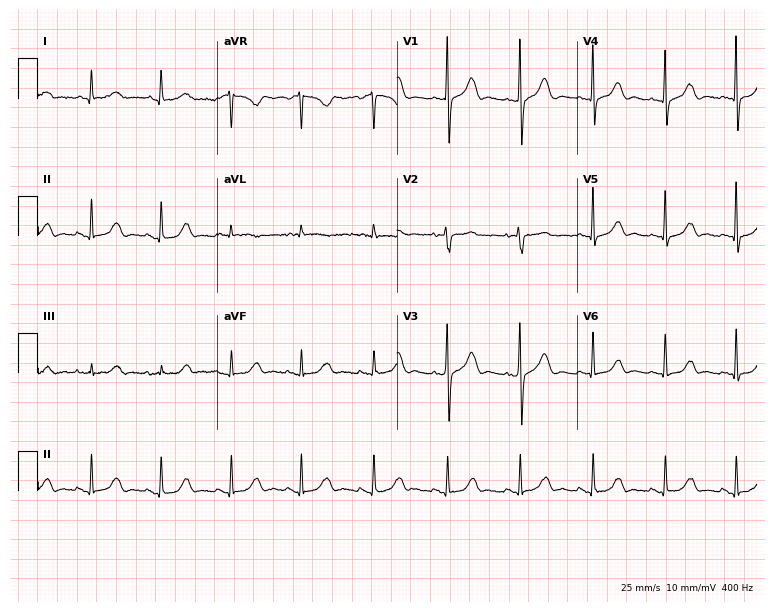
Standard 12-lead ECG recorded from a female, 68 years old. None of these six findings is recorded: first-degree AV block, right bundle branch block (RBBB), left bundle branch block (LBBB), sinus bradycardia, atrial fibrillation (AF), sinus tachycardia. Findings outside these six are not listed.